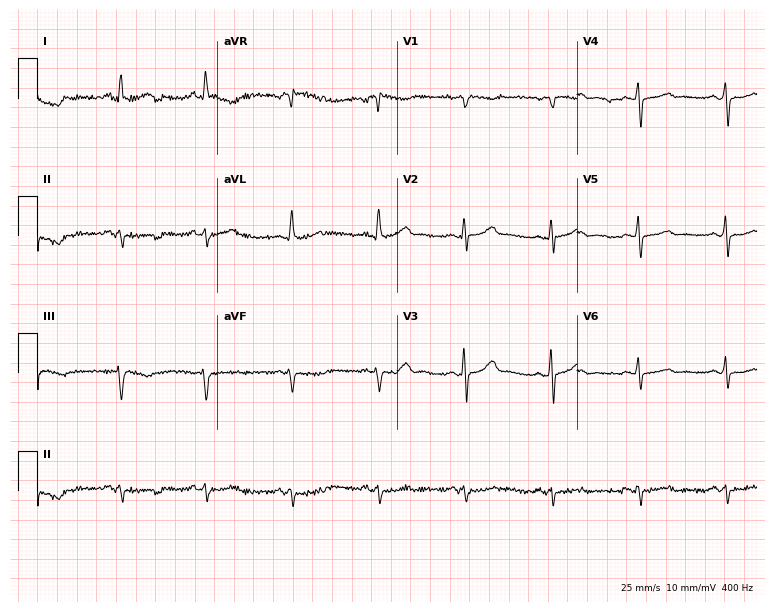
12-lead ECG (7.3-second recording at 400 Hz) from a 58-year-old female patient. Screened for six findings — first-degree AV block, right bundle branch block (RBBB), left bundle branch block (LBBB), sinus bradycardia, atrial fibrillation (AF), sinus tachycardia — none is recorded.